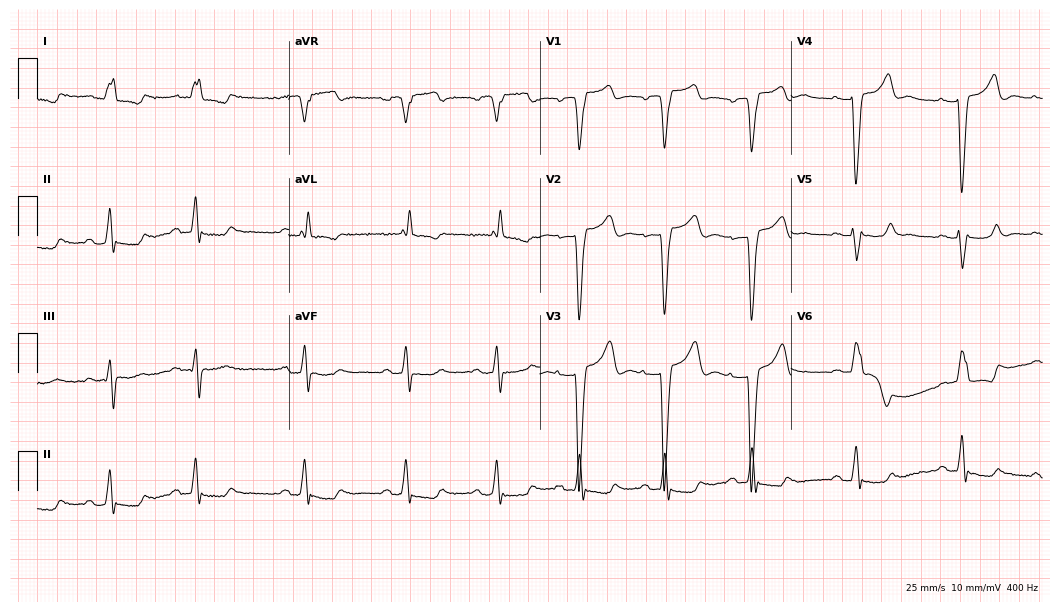
Resting 12-lead electrocardiogram. Patient: a woman, 80 years old. The tracing shows left bundle branch block.